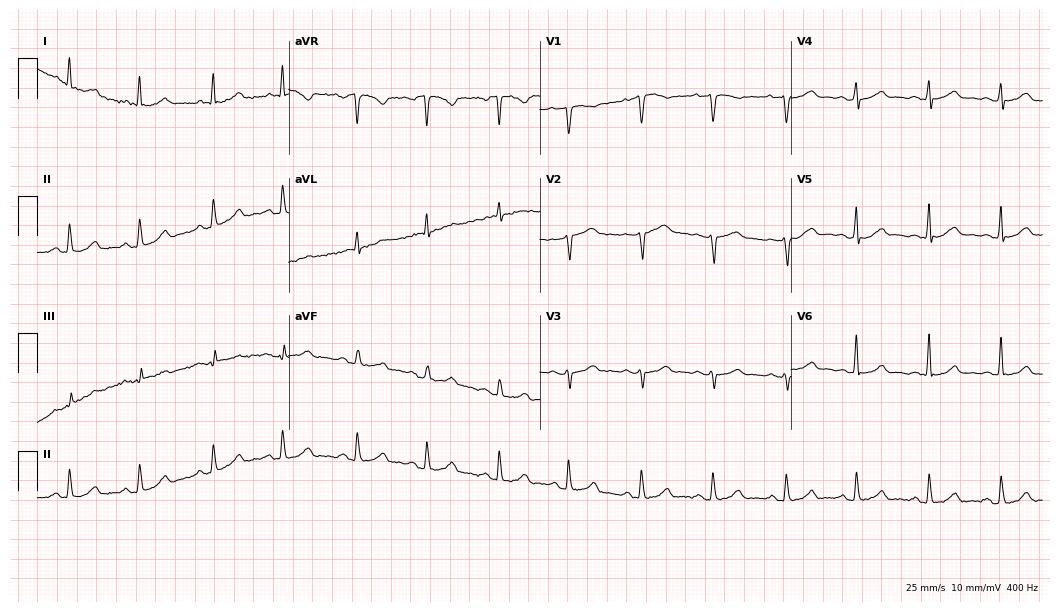
Standard 12-lead ECG recorded from a 50-year-old woman (10.2-second recording at 400 Hz). Read as a normal ECG.